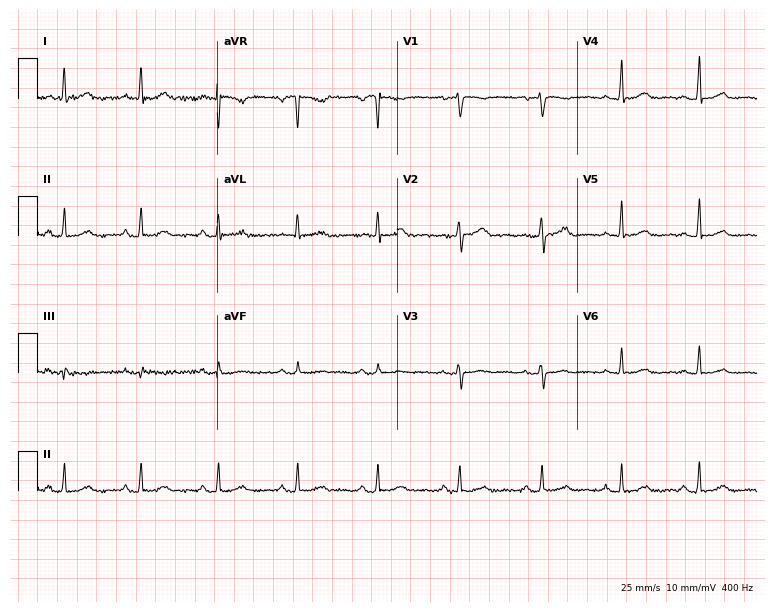
ECG (7.3-second recording at 400 Hz) — a female patient, 70 years old. Labelled as a normal ECG.